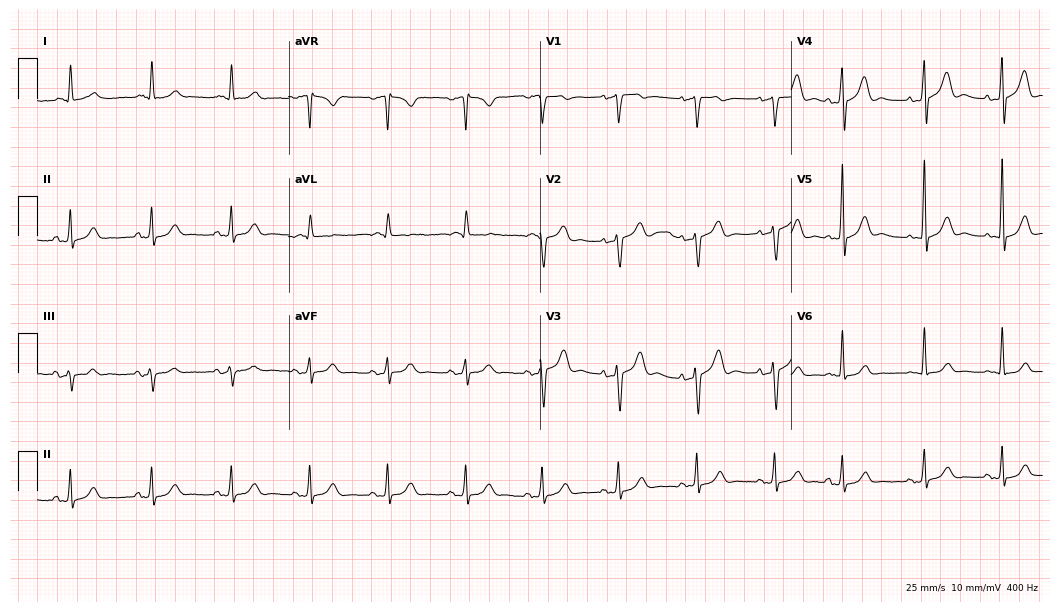
ECG (10.2-second recording at 400 Hz) — a 71-year-old female patient. Screened for six findings — first-degree AV block, right bundle branch block, left bundle branch block, sinus bradycardia, atrial fibrillation, sinus tachycardia — none is recorded. Findings outside these six are not listed.